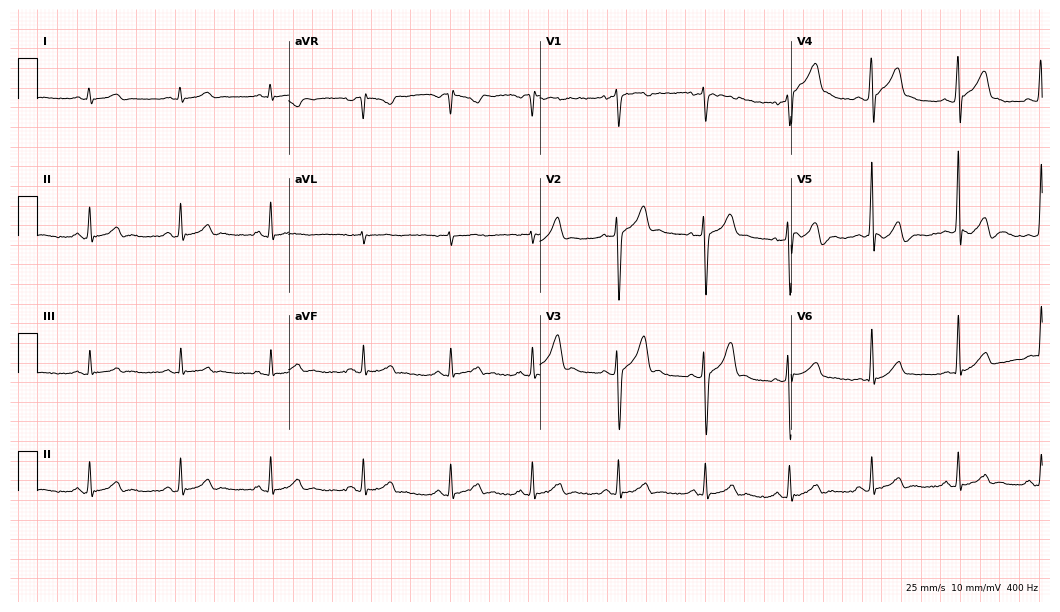
Resting 12-lead electrocardiogram. Patient: a male, 22 years old. Read as a normal ECG.